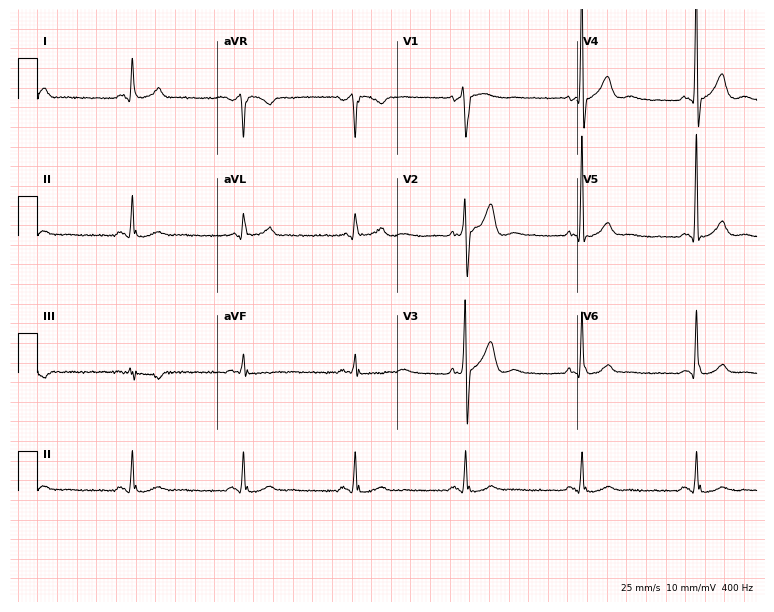
ECG (7.3-second recording at 400 Hz) — a male patient, 66 years old. Screened for six findings — first-degree AV block, right bundle branch block, left bundle branch block, sinus bradycardia, atrial fibrillation, sinus tachycardia — none is recorded. Other findings, if any, are not listed.